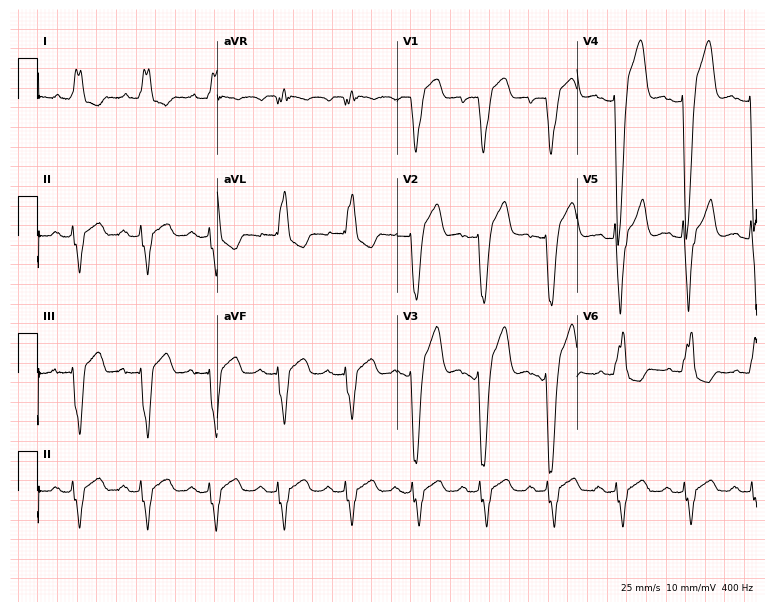
12-lead ECG from a male patient, 80 years old. Findings include left bundle branch block.